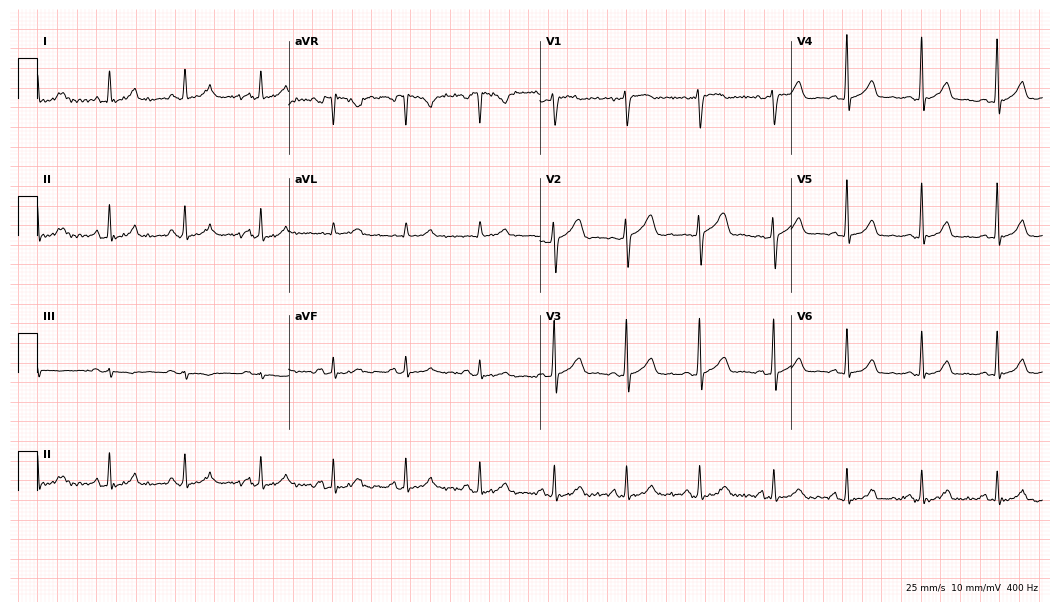
ECG (10.2-second recording at 400 Hz) — a female patient, 37 years old. Screened for six findings — first-degree AV block, right bundle branch block (RBBB), left bundle branch block (LBBB), sinus bradycardia, atrial fibrillation (AF), sinus tachycardia — none is recorded. Other findings, if any, are not listed.